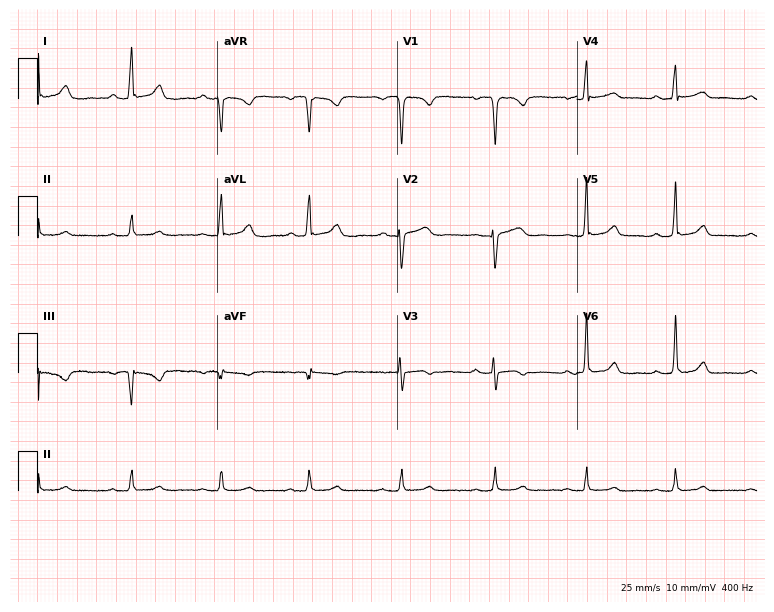
Standard 12-lead ECG recorded from a 23-year-old female (7.3-second recording at 400 Hz). None of these six findings is recorded: first-degree AV block, right bundle branch block (RBBB), left bundle branch block (LBBB), sinus bradycardia, atrial fibrillation (AF), sinus tachycardia.